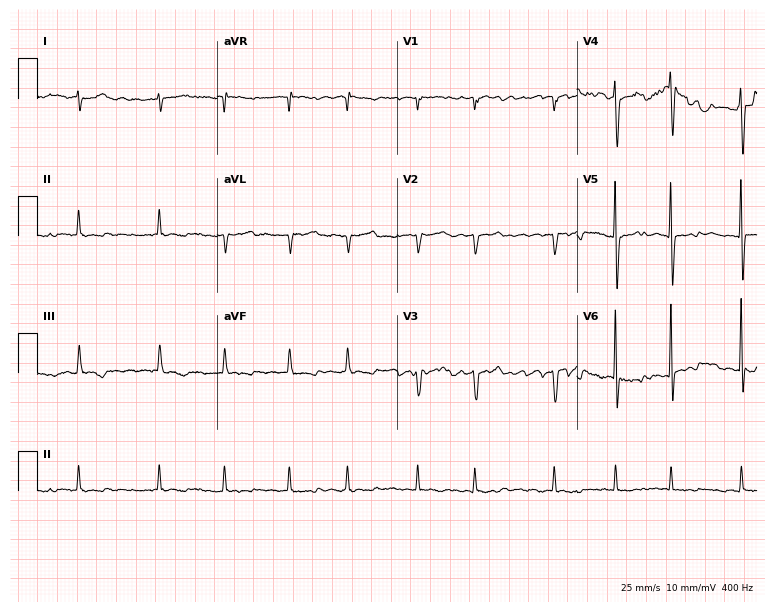
Electrocardiogram, a woman, 79 years old. Interpretation includes atrial fibrillation (AF).